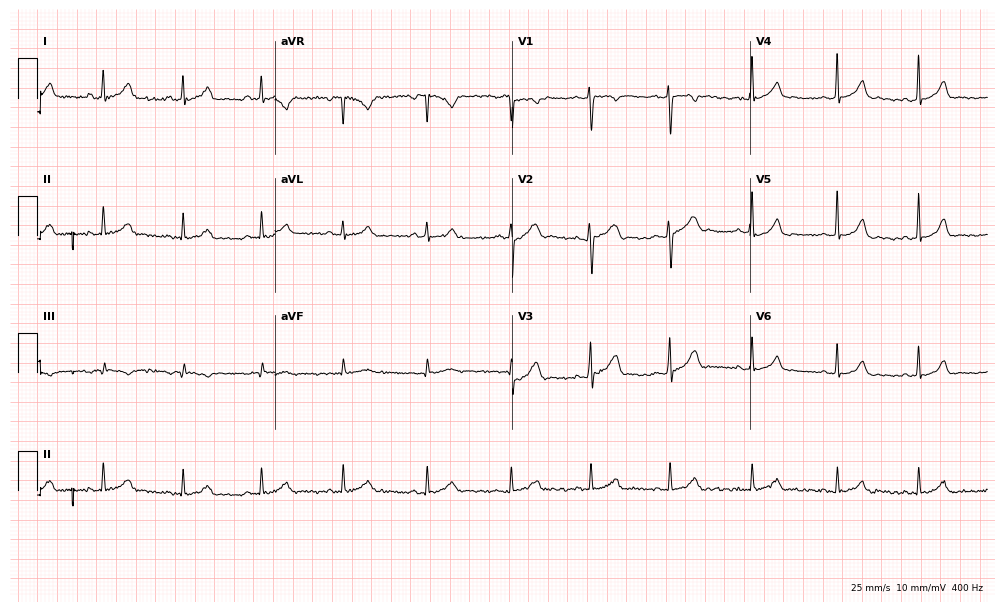
ECG (9.7-second recording at 400 Hz) — a female patient, 23 years old. Screened for six findings — first-degree AV block, right bundle branch block (RBBB), left bundle branch block (LBBB), sinus bradycardia, atrial fibrillation (AF), sinus tachycardia — none is recorded.